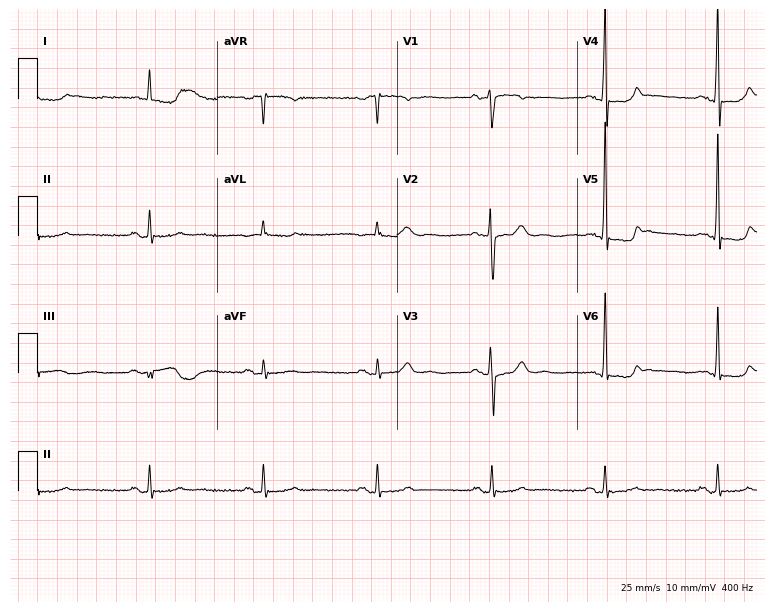
12-lead ECG from a male, 67 years old (7.3-second recording at 400 Hz). No first-degree AV block, right bundle branch block, left bundle branch block, sinus bradycardia, atrial fibrillation or sinus tachycardia recorded for this tracing. Other findings, if any, are not listed.